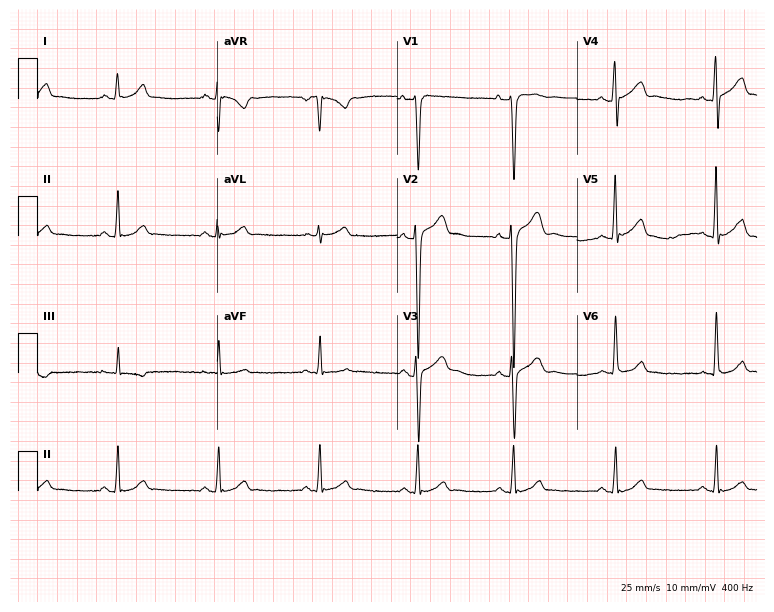
12-lead ECG from a male patient, 30 years old. Recorded interpretation: within normal limits.